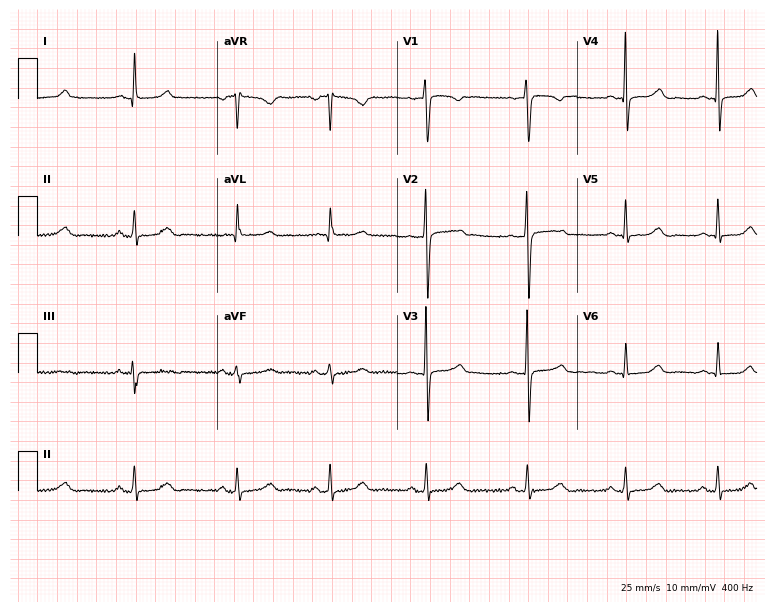
12-lead ECG from a woman, 47 years old (7.3-second recording at 400 Hz). Recorded interpretation: within normal limits.